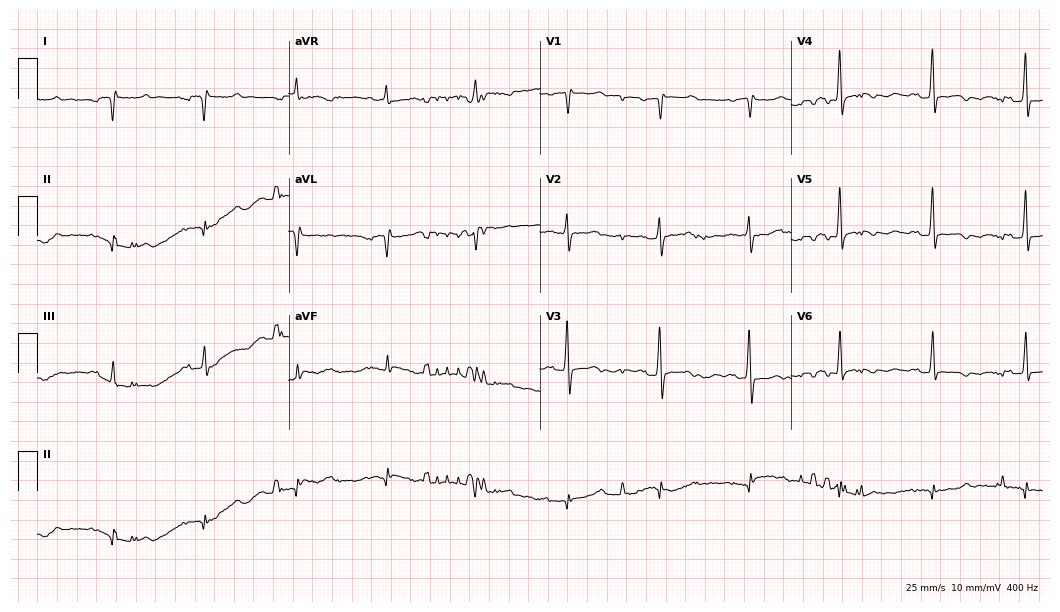
12-lead ECG from a 66-year-old woman. No first-degree AV block, right bundle branch block, left bundle branch block, sinus bradycardia, atrial fibrillation or sinus tachycardia recorded for this tracing.